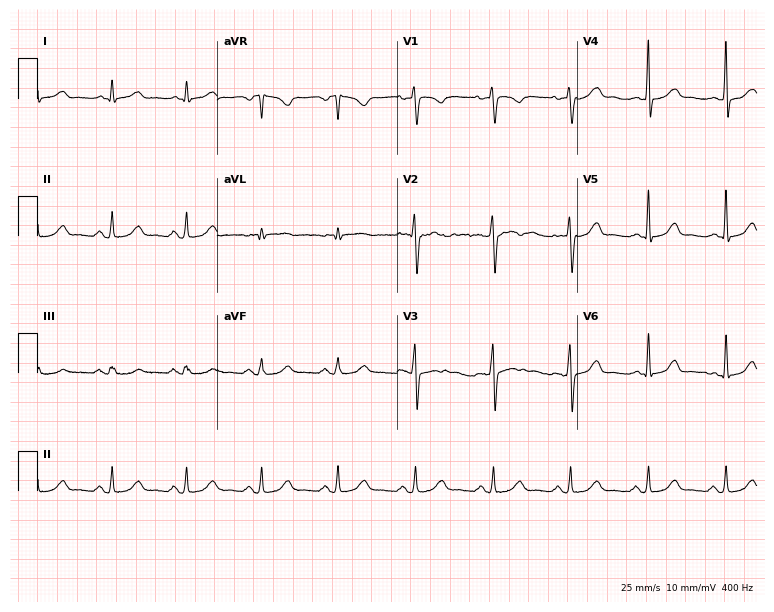
12-lead ECG from a woman, 44 years old. Labelled as a normal ECG.